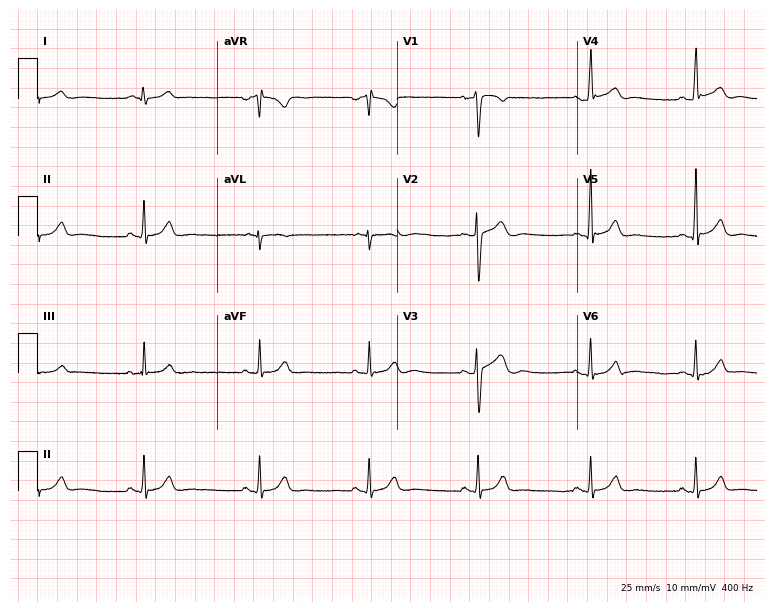
12-lead ECG from a man, 28 years old (7.3-second recording at 400 Hz). No first-degree AV block, right bundle branch block (RBBB), left bundle branch block (LBBB), sinus bradycardia, atrial fibrillation (AF) or sinus tachycardia recorded for this tracing.